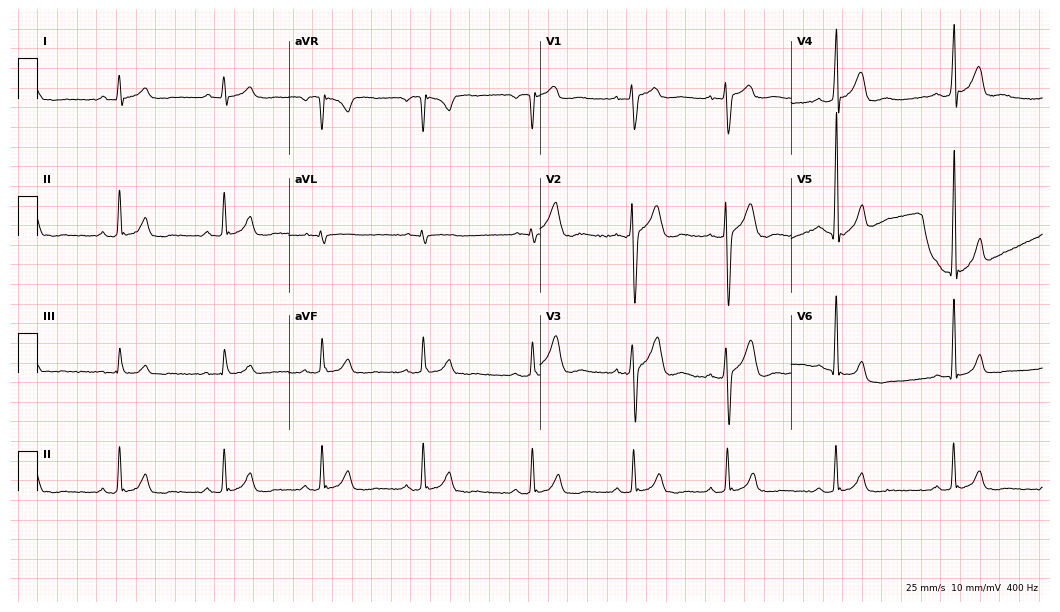
Resting 12-lead electrocardiogram (10.2-second recording at 400 Hz). Patient: an 18-year-old male. None of these six findings is recorded: first-degree AV block, right bundle branch block, left bundle branch block, sinus bradycardia, atrial fibrillation, sinus tachycardia.